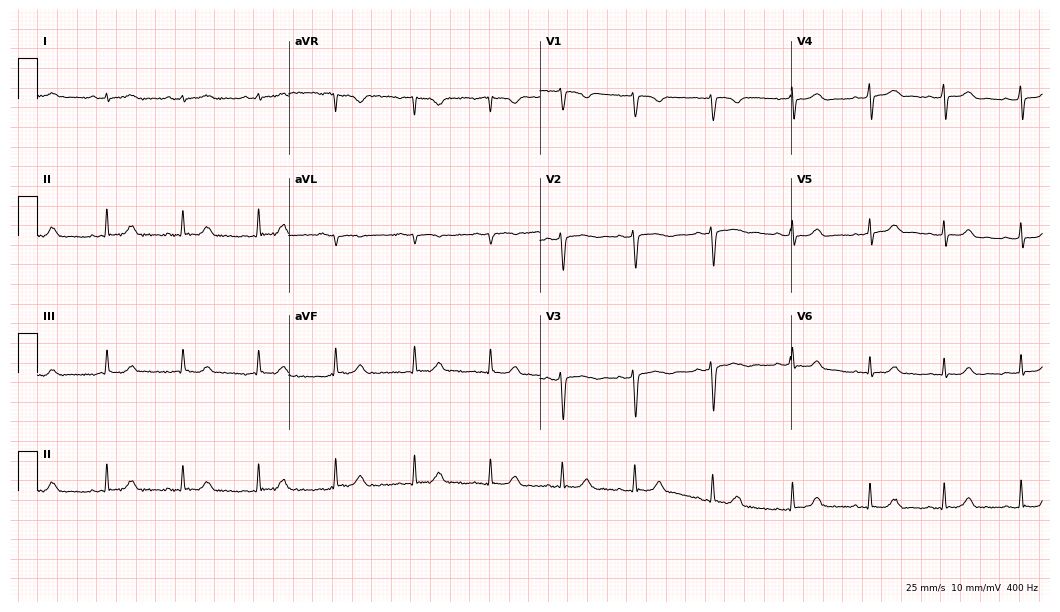
Resting 12-lead electrocardiogram. Patient: a 26-year-old woman. None of these six findings is recorded: first-degree AV block, right bundle branch block (RBBB), left bundle branch block (LBBB), sinus bradycardia, atrial fibrillation (AF), sinus tachycardia.